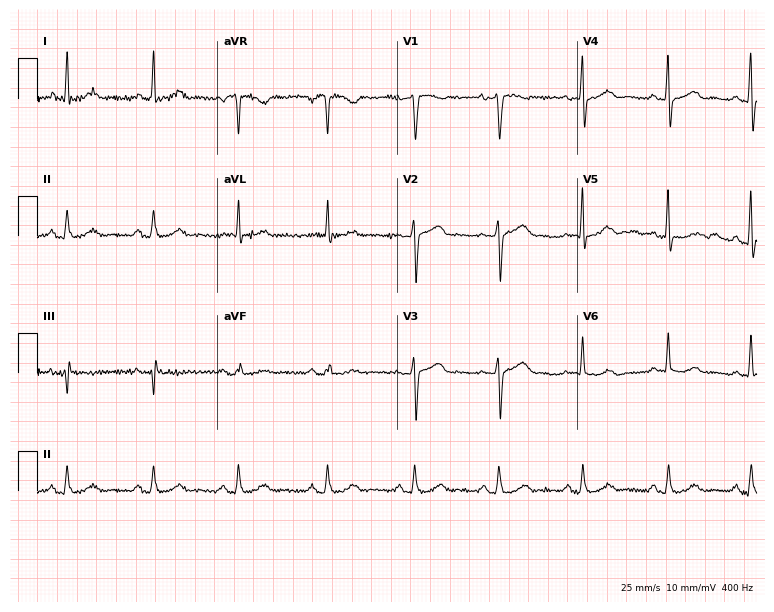
Resting 12-lead electrocardiogram. Patient: a 57-year-old female. None of these six findings is recorded: first-degree AV block, right bundle branch block (RBBB), left bundle branch block (LBBB), sinus bradycardia, atrial fibrillation (AF), sinus tachycardia.